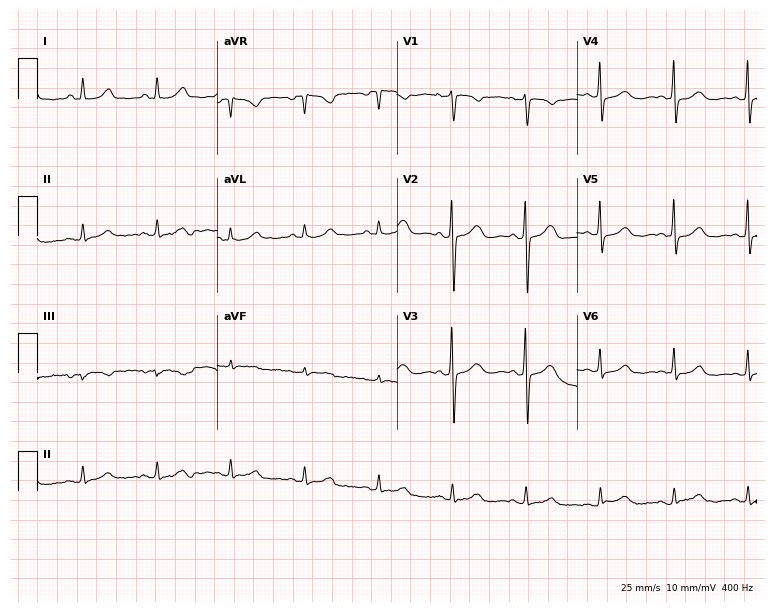
Resting 12-lead electrocardiogram (7.3-second recording at 400 Hz). Patient: a 60-year-old female. None of these six findings is recorded: first-degree AV block, right bundle branch block, left bundle branch block, sinus bradycardia, atrial fibrillation, sinus tachycardia.